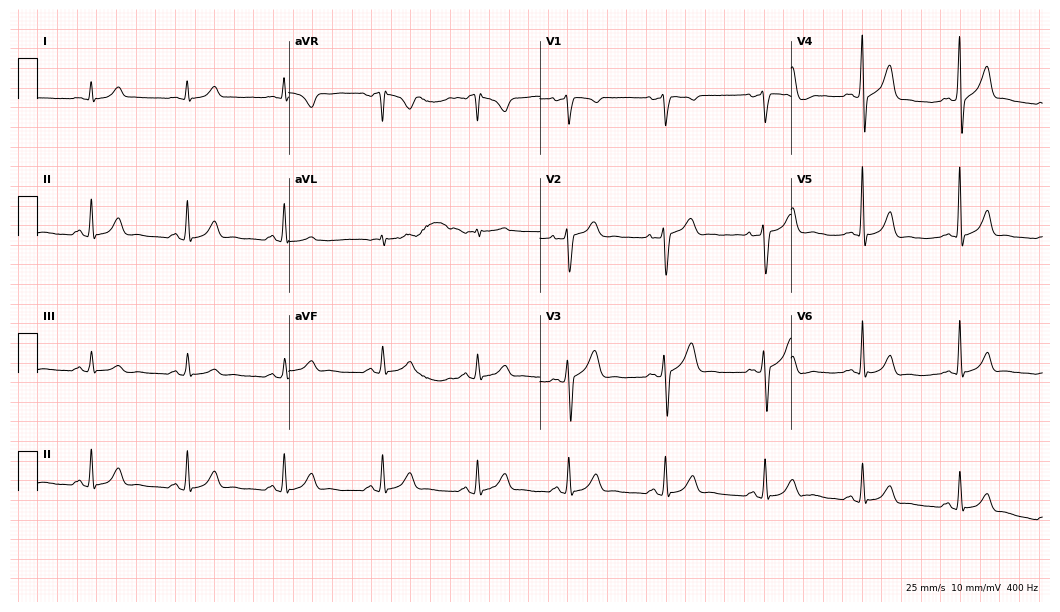
Resting 12-lead electrocardiogram (10.2-second recording at 400 Hz). Patient: a 41-year-old male. Read as a normal ECG.